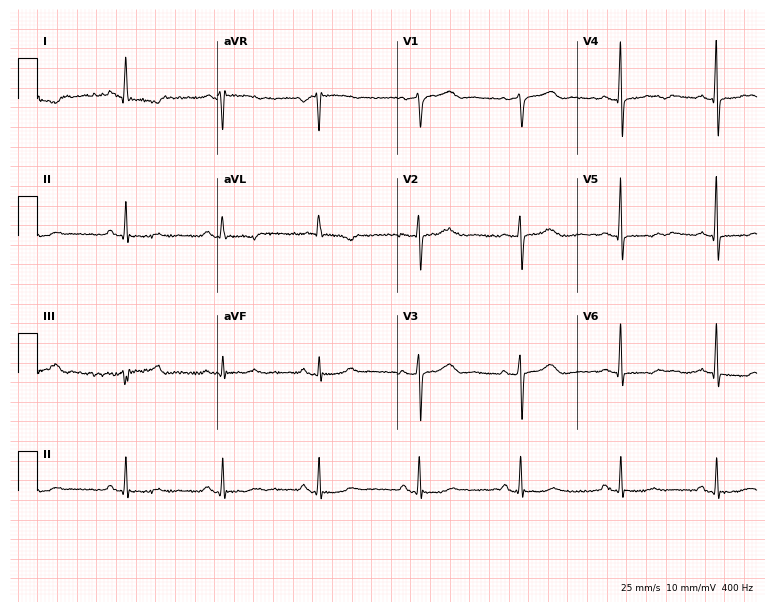
Standard 12-lead ECG recorded from a 63-year-old female (7.3-second recording at 400 Hz). None of these six findings is recorded: first-degree AV block, right bundle branch block (RBBB), left bundle branch block (LBBB), sinus bradycardia, atrial fibrillation (AF), sinus tachycardia.